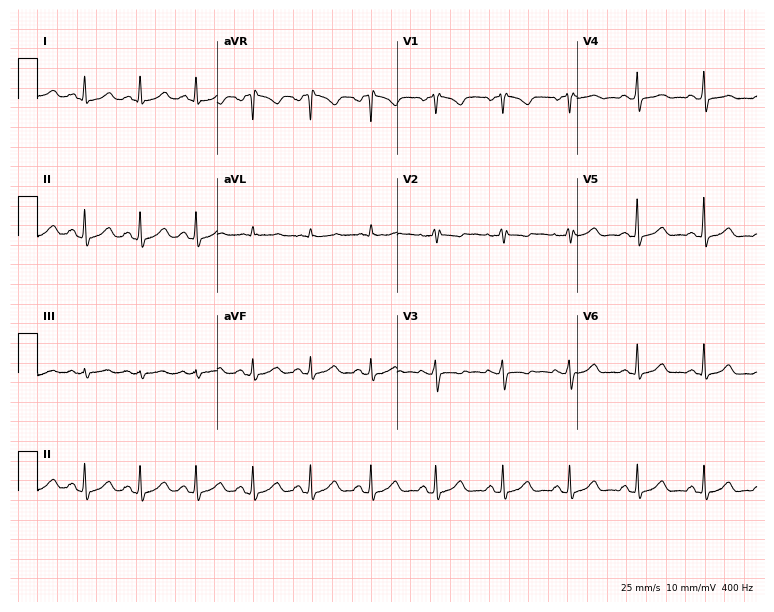
Standard 12-lead ECG recorded from a 30-year-old woman (7.3-second recording at 400 Hz). Read as a normal ECG.